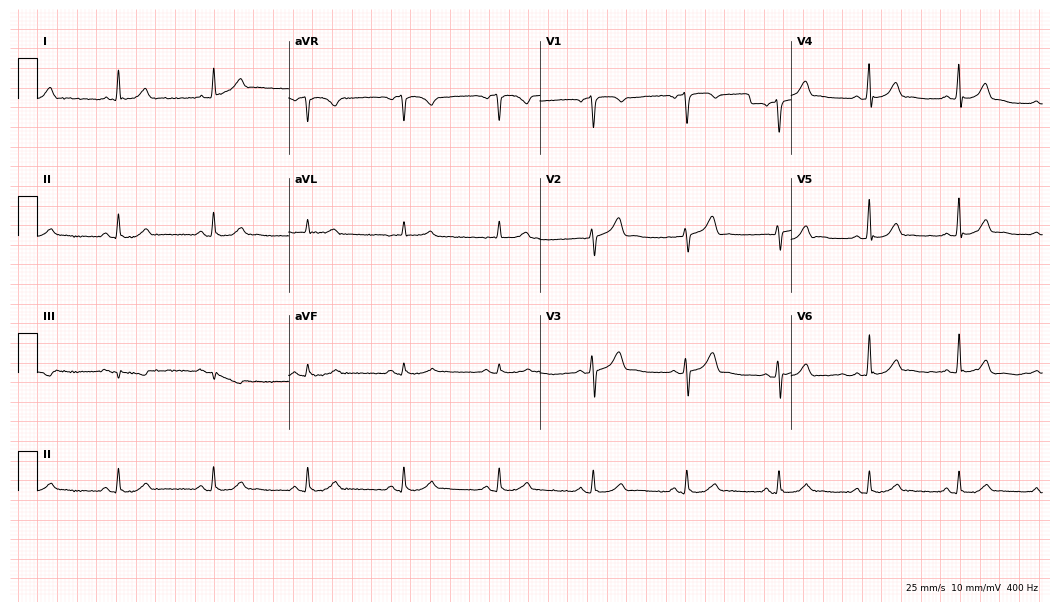
Standard 12-lead ECG recorded from a male patient, 51 years old. Read as a normal ECG.